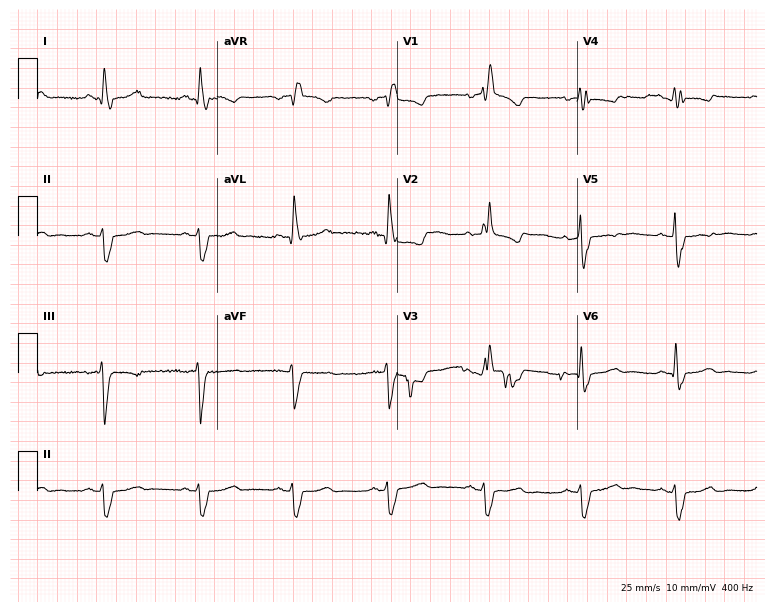
Standard 12-lead ECG recorded from a female, 43 years old (7.3-second recording at 400 Hz). The tracing shows right bundle branch block (RBBB).